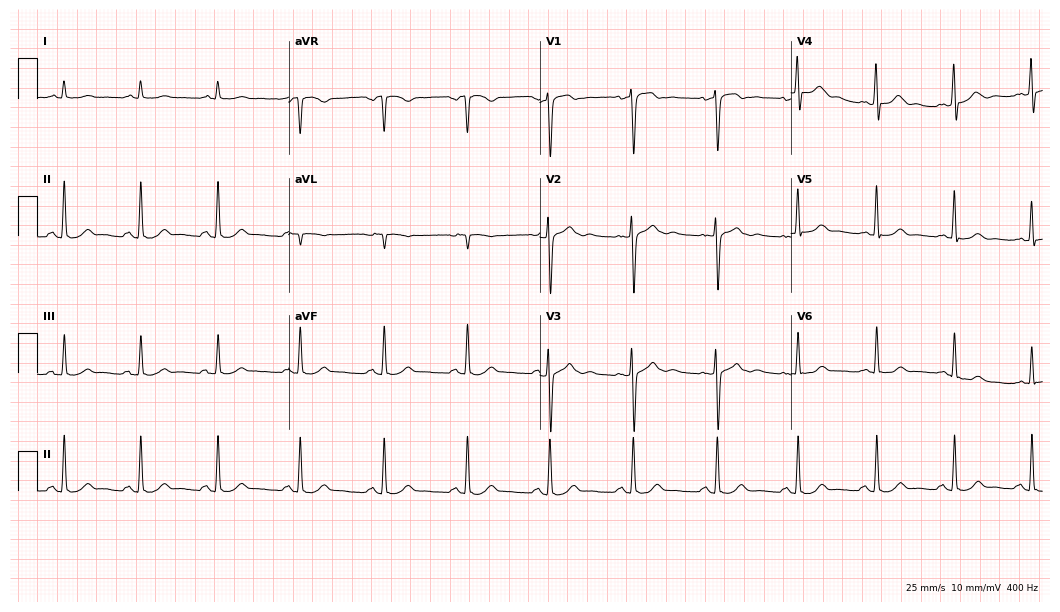
12-lead ECG from a 57-year-old man. Screened for six findings — first-degree AV block, right bundle branch block, left bundle branch block, sinus bradycardia, atrial fibrillation, sinus tachycardia — none is recorded.